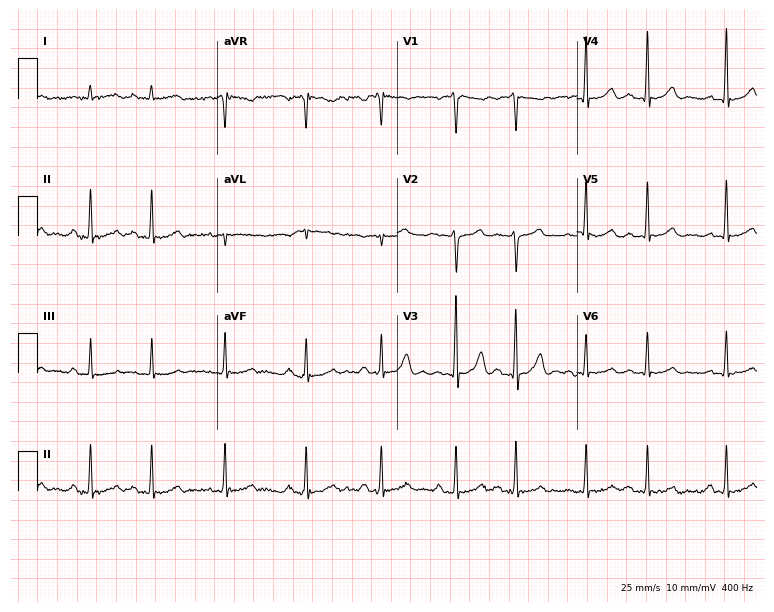
Standard 12-lead ECG recorded from a male patient, 52 years old. Read as a normal ECG.